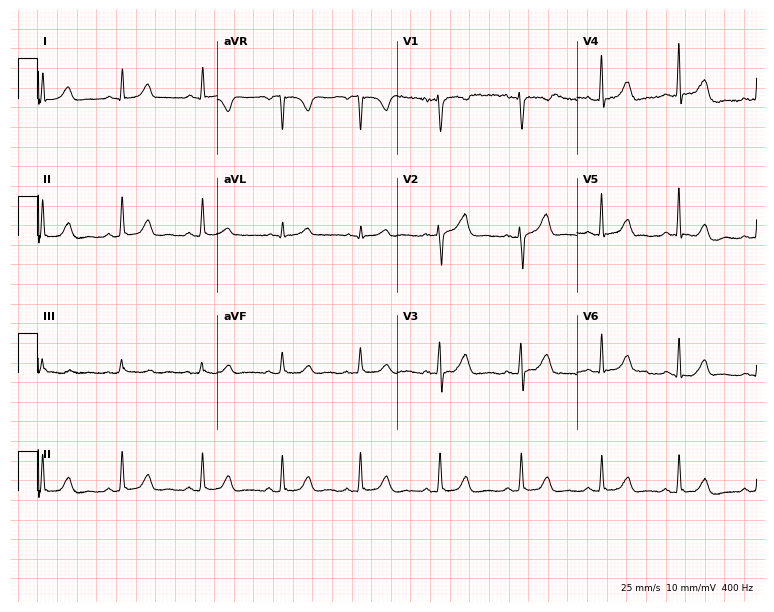
Electrocardiogram, a woman, 70 years old. Of the six screened findings (first-degree AV block, right bundle branch block, left bundle branch block, sinus bradycardia, atrial fibrillation, sinus tachycardia), none is recorded. Other findings, if any, are not listed.